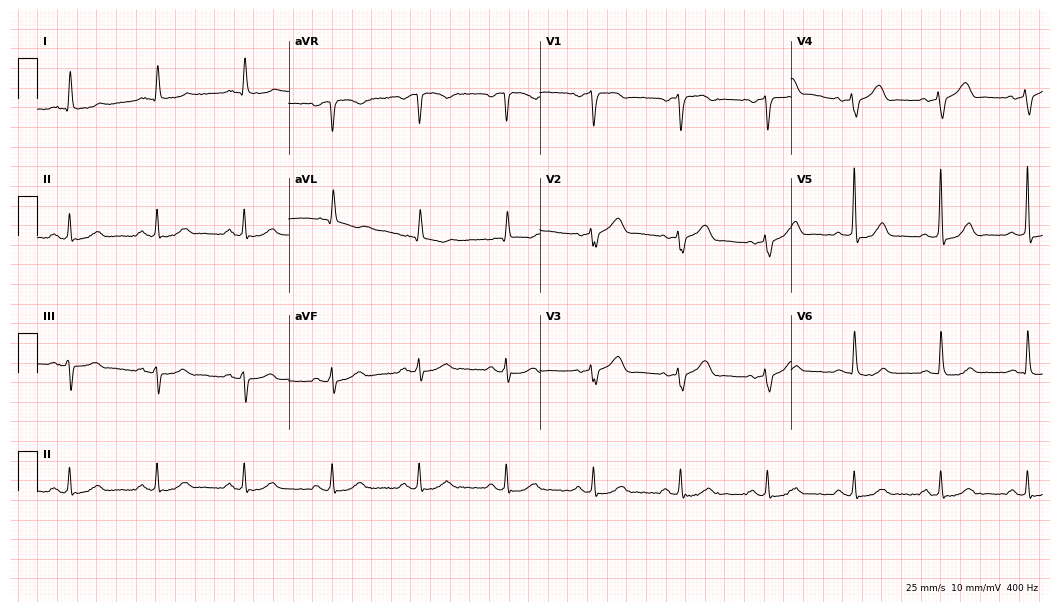
ECG — a 76-year-old male patient. Screened for six findings — first-degree AV block, right bundle branch block, left bundle branch block, sinus bradycardia, atrial fibrillation, sinus tachycardia — none is recorded. Findings outside these six are not listed.